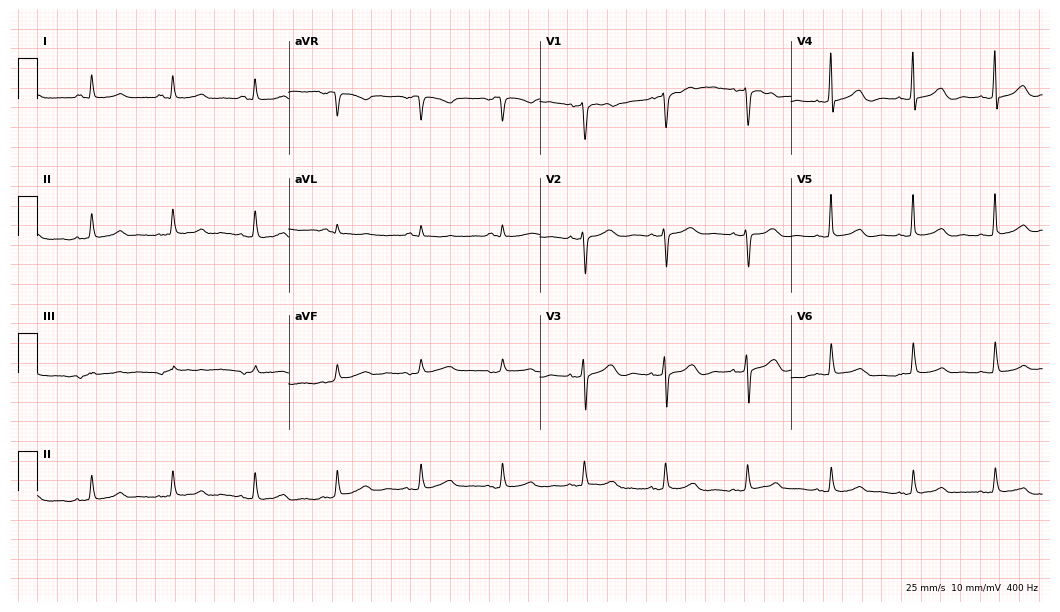
ECG — an 84-year-old female patient. Labelled as a normal ECG.